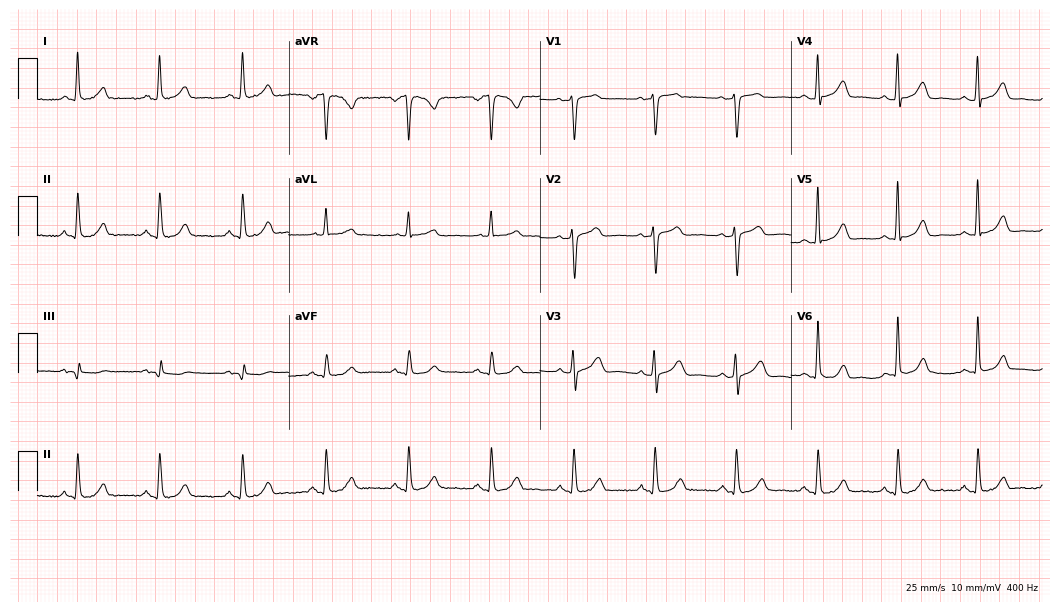
12-lead ECG from a woman, 62 years old (10.2-second recording at 400 Hz). Recorded interpretation: within normal limits.